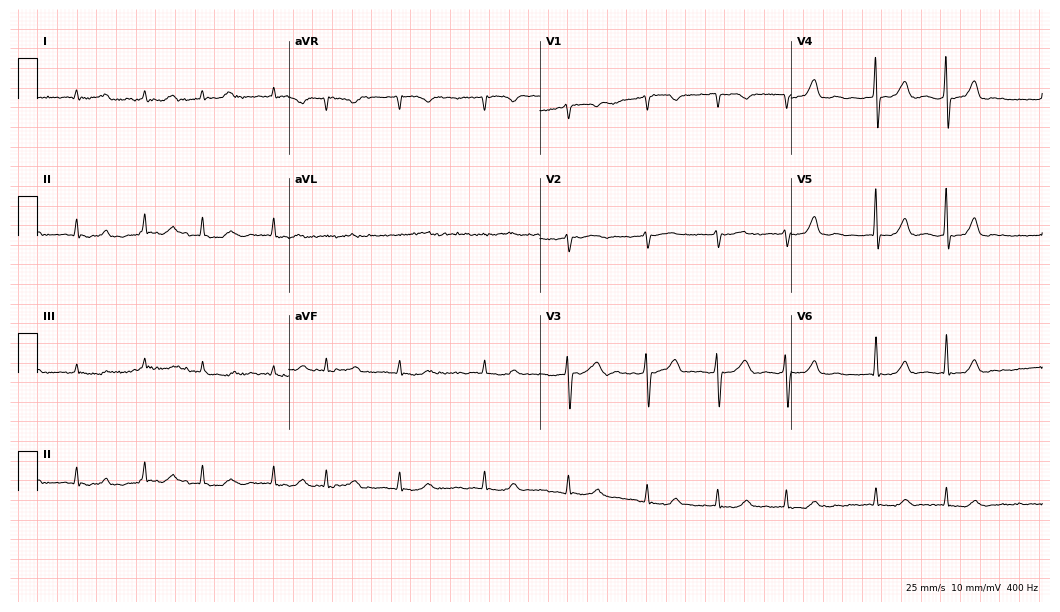
12-lead ECG from a man, 75 years old (10.2-second recording at 400 Hz). Shows atrial fibrillation.